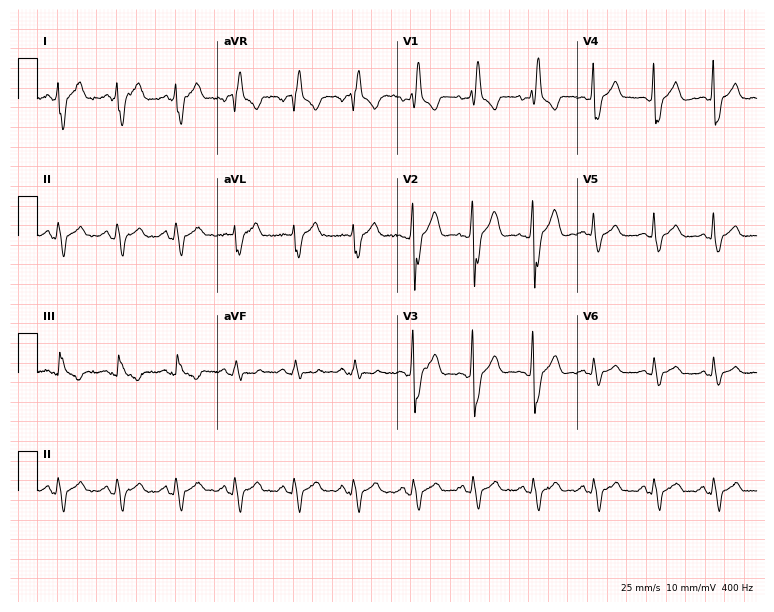
Electrocardiogram, a male, 57 years old. Interpretation includes right bundle branch block.